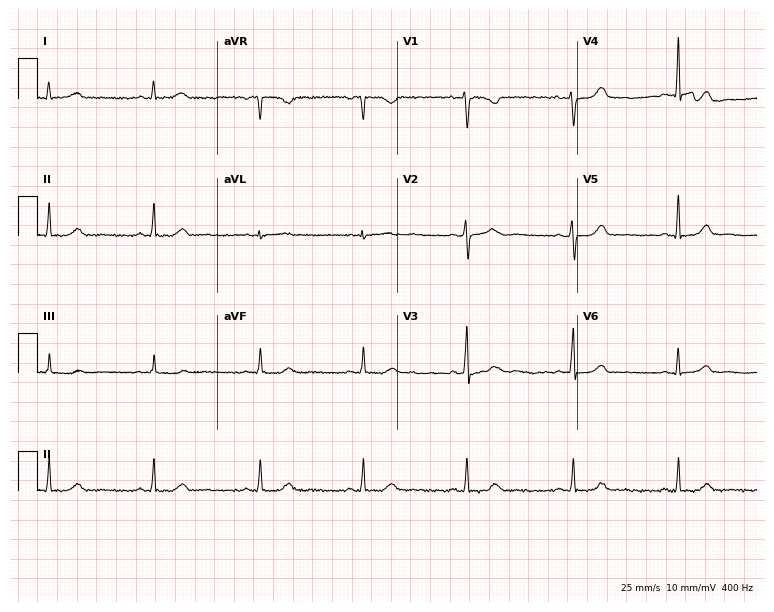
Standard 12-lead ECG recorded from a female, 41 years old. Read as a normal ECG.